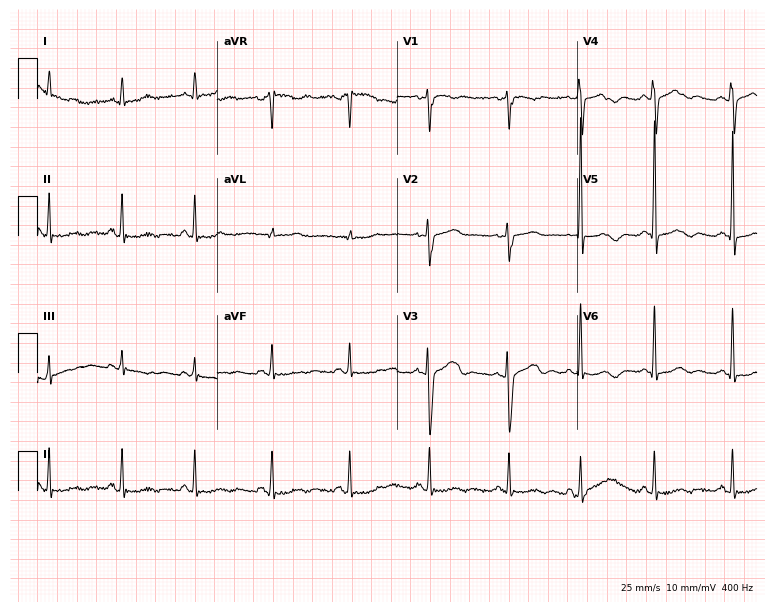
Electrocardiogram, a 31-year-old female patient. Of the six screened findings (first-degree AV block, right bundle branch block, left bundle branch block, sinus bradycardia, atrial fibrillation, sinus tachycardia), none is recorded. Only these six findings were labelled.